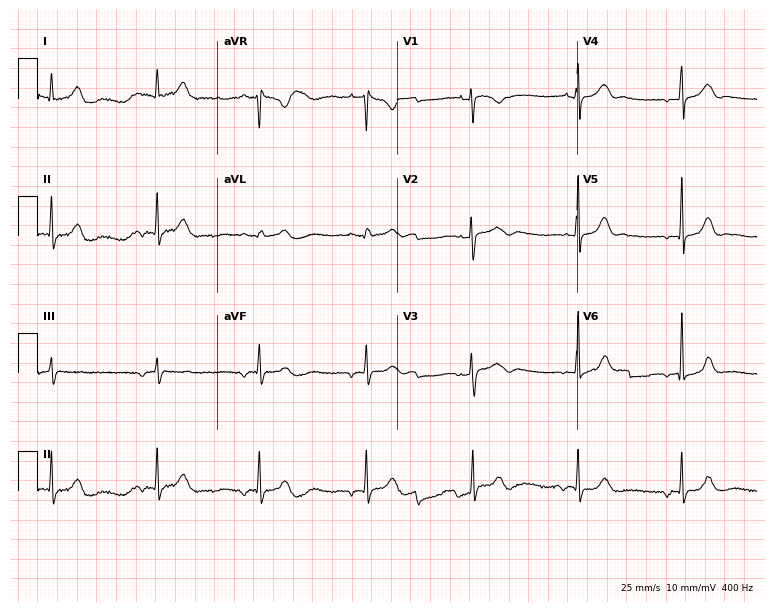
12-lead ECG from a female patient, 18 years old. No first-degree AV block, right bundle branch block (RBBB), left bundle branch block (LBBB), sinus bradycardia, atrial fibrillation (AF) or sinus tachycardia recorded for this tracing. Only these six findings were labelled.